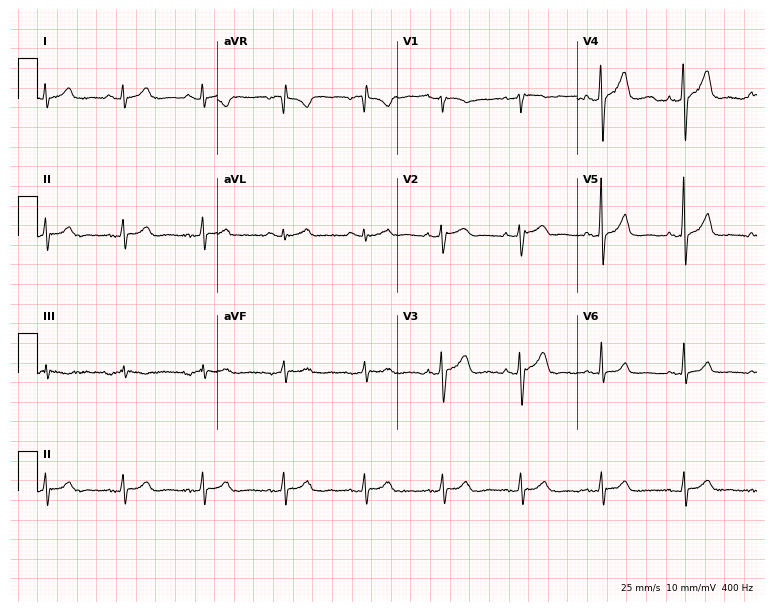
12-lead ECG from a 39-year-old female patient. Screened for six findings — first-degree AV block, right bundle branch block (RBBB), left bundle branch block (LBBB), sinus bradycardia, atrial fibrillation (AF), sinus tachycardia — none is recorded. Other findings, if any, are not listed.